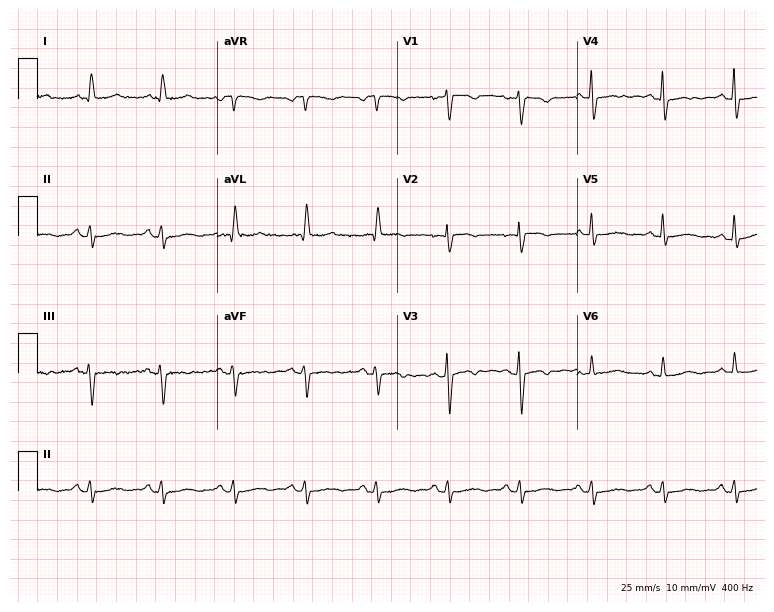
12-lead ECG from a 73-year-old female patient. Recorded interpretation: within normal limits.